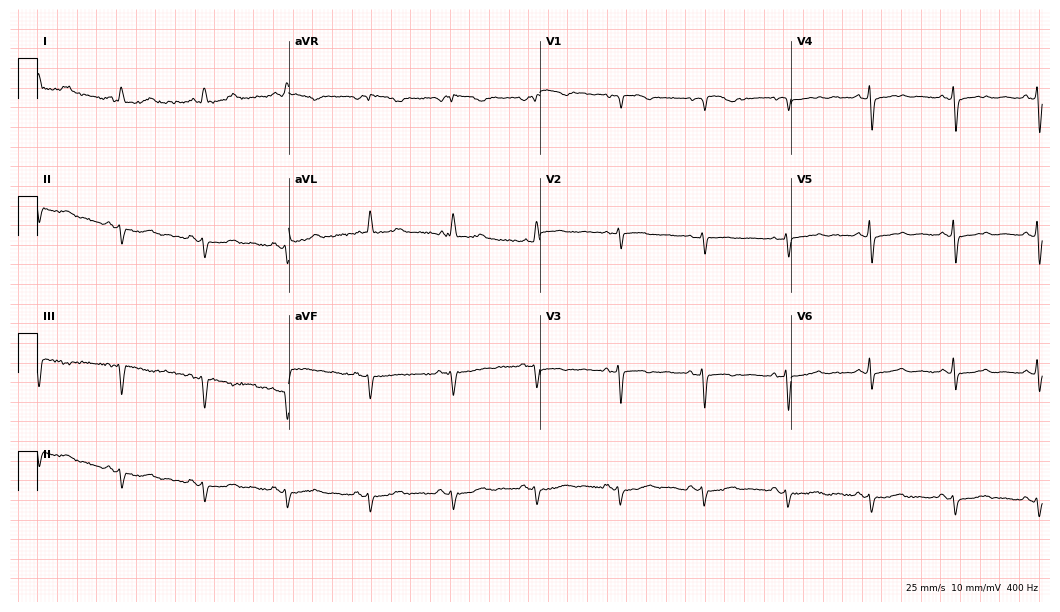
ECG — a female, 85 years old. Screened for six findings — first-degree AV block, right bundle branch block (RBBB), left bundle branch block (LBBB), sinus bradycardia, atrial fibrillation (AF), sinus tachycardia — none is recorded. Other findings, if any, are not listed.